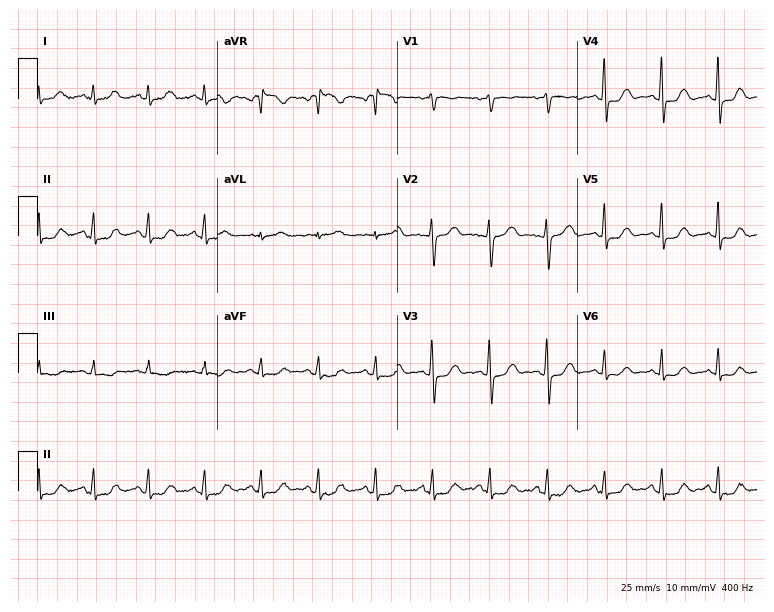
12-lead ECG from a woman, 48 years old. Shows sinus tachycardia (a sinus rate of 100 beats per minute or more).